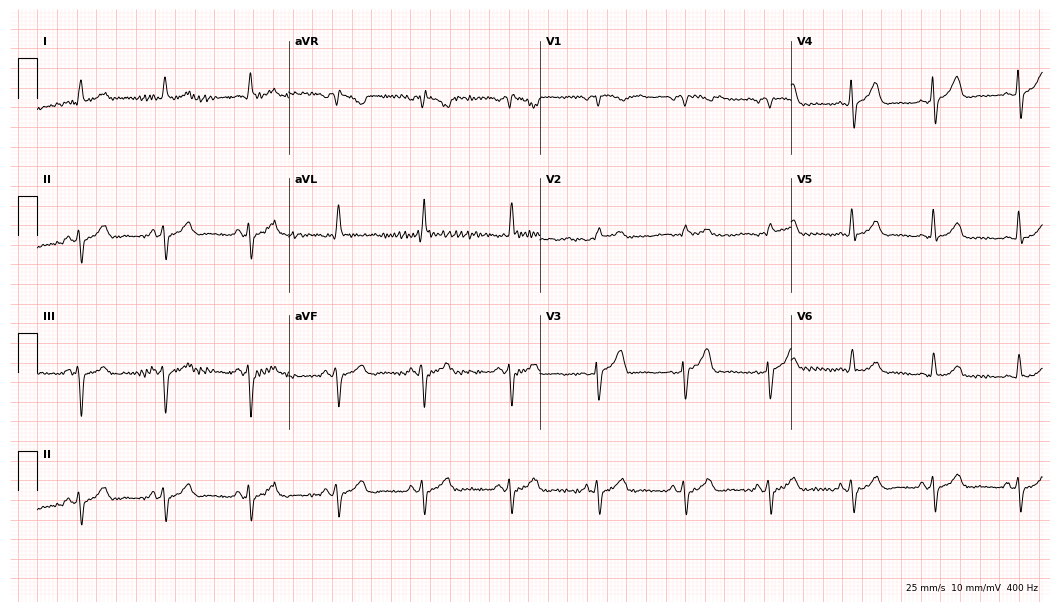
12-lead ECG (10.2-second recording at 400 Hz) from a male patient, 65 years old. Screened for six findings — first-degree AV block, right bundle branch block (RBBB), left bundle branch block (LBBB), sinus bradycardia, atrial fibrillation (AF), sinus tachycardia — none is recorded. Other findings, if any, are not listed.